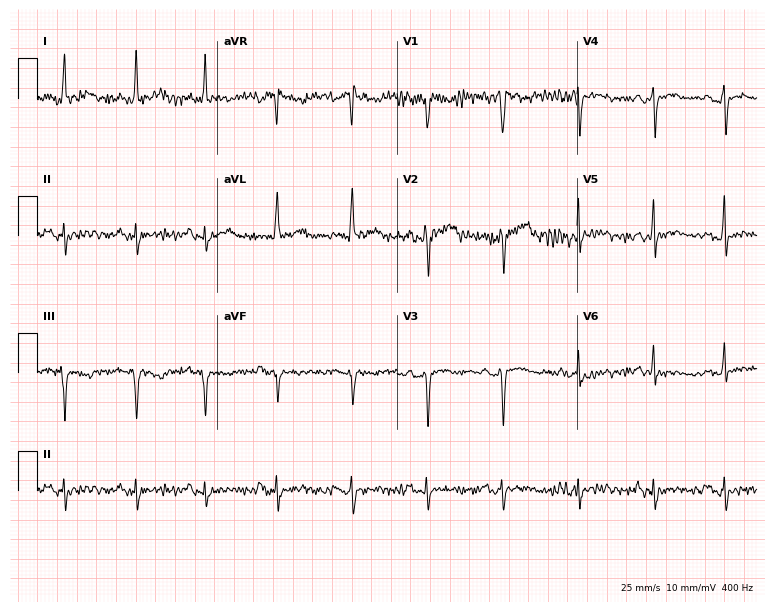
Standard 12-lead ECG recorded from a female patient, 36 years old (7.3-second recording at 400 Hz). None of these six findings is recorded: first-degree AV block, right bundle branch block (RBBB), left bundle branch block (LBBB), sinus bradycardia, atrial fibrillation (AF), sinus tachycardia.